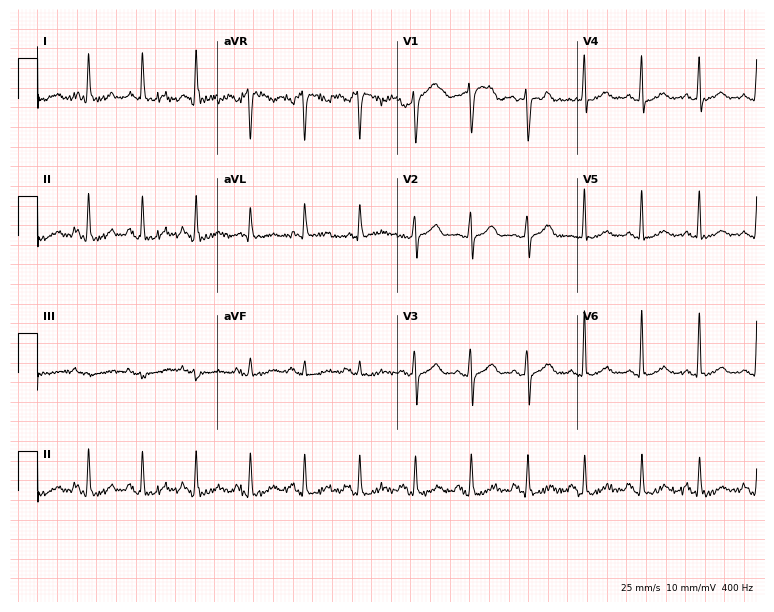
12-lead ECG (7.3-second recording at 400 Hz) from a woman, 58 years old. Findings include sinus tachycardia (a sinus rate of 100 beats per minute or more).